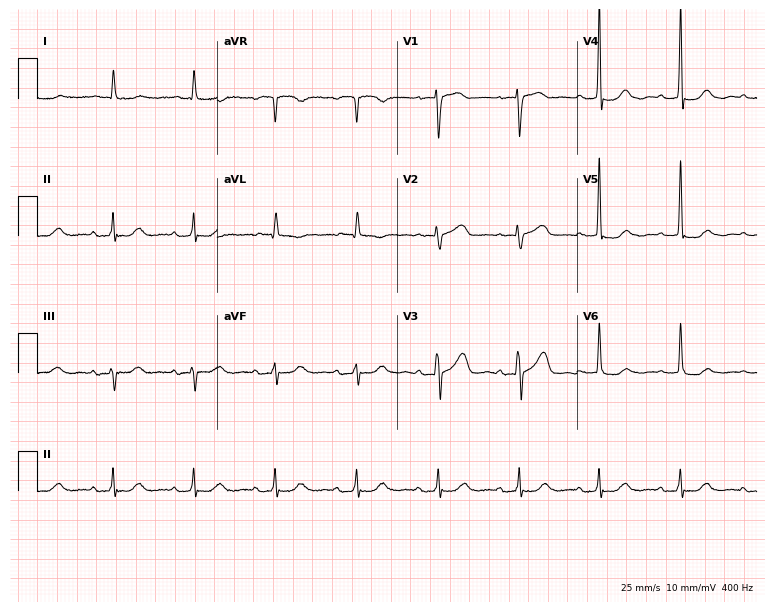
12-lead ECG (7.3-second recording at 400 Hz) from a female patient, 81 years old. Labelled as a normal ECG.